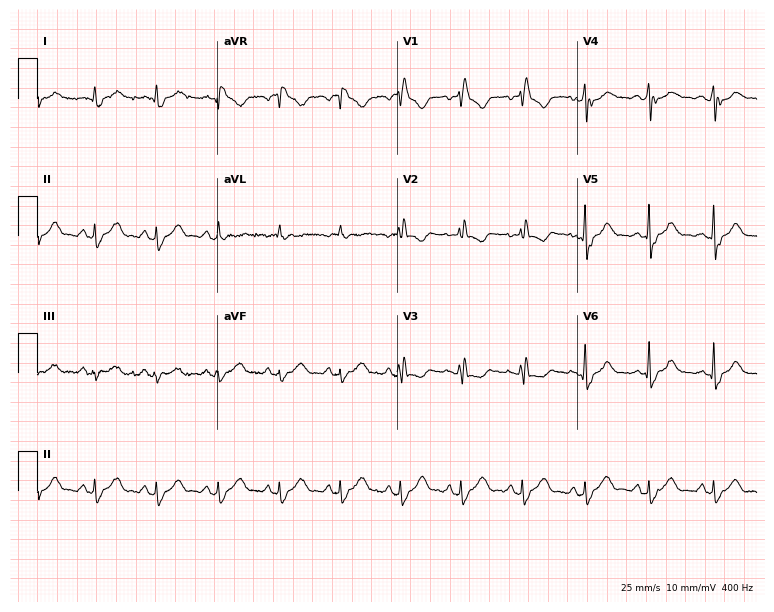
ECG (7.3-second recording at 400 Hz) — a 57-year-old male patient. Findings include right bundle branch block (RBBB).